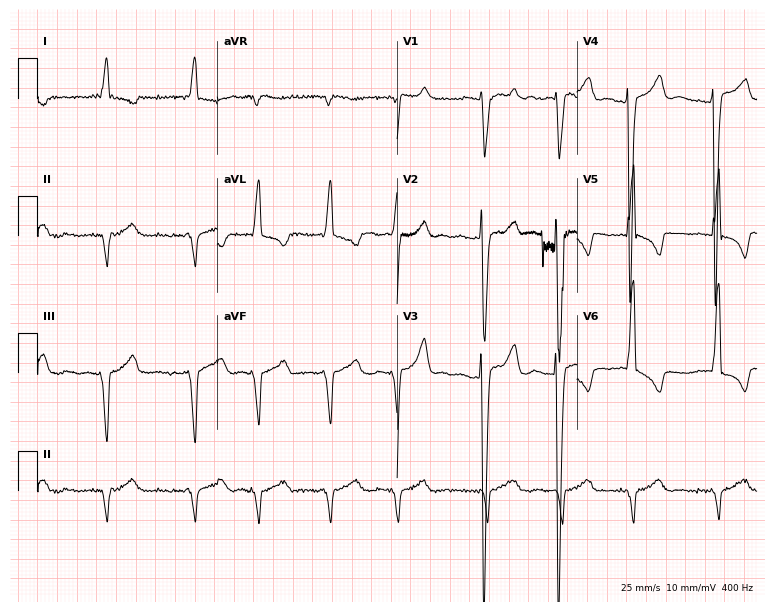
Electrocardiogram (7.3-second recording at 400 Hz), a 71-year-old male. Interpretation includes atrial fibrillation.